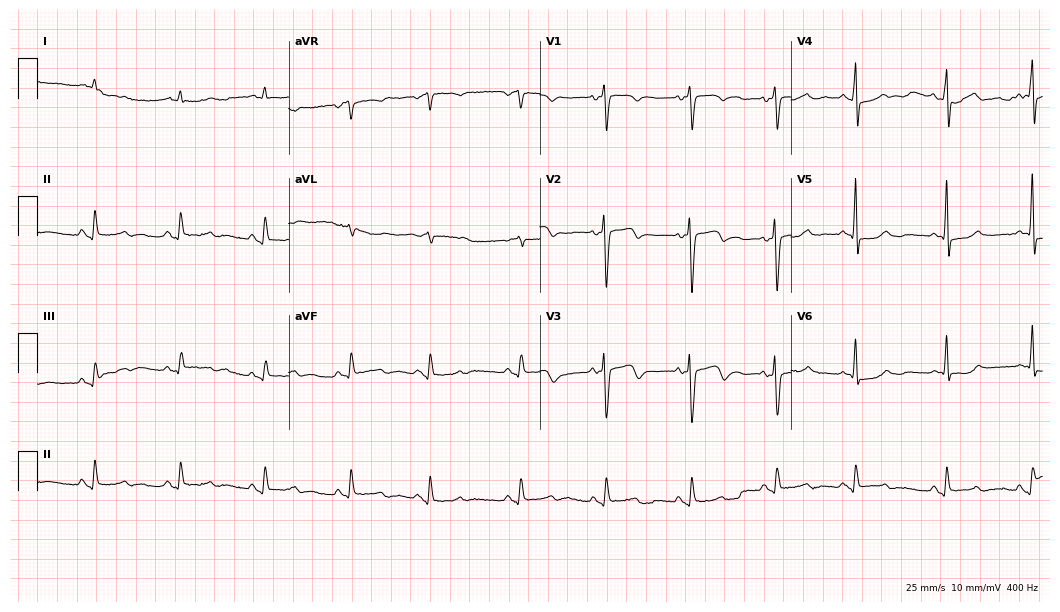
ECG — a male patient, 85 years old. Screened for six findings — first-degree AV block, right bundle branch block, left bundle branch block, sinus bradycardia, atrial fibrillation, sinus tachycardia — none is recorded. Only these six findings were labelled.